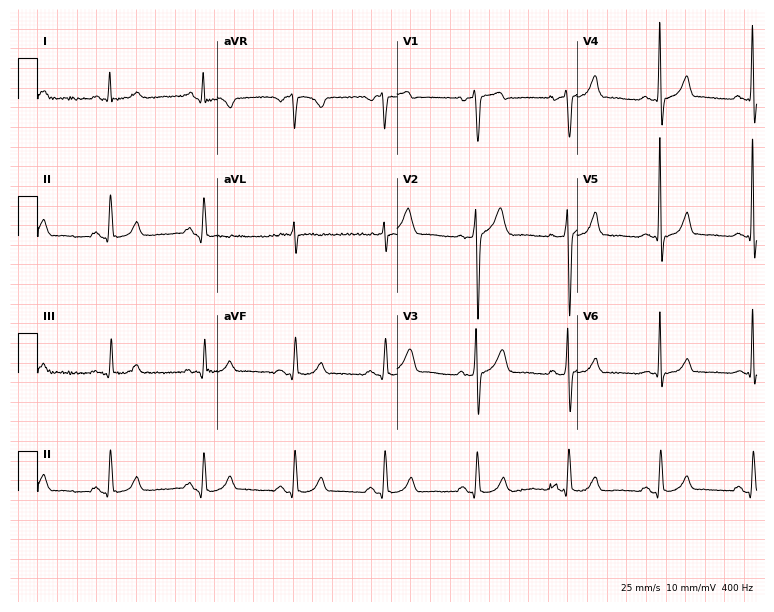
12-lead ECG from a 49-year-old male. Labelled as a normal ECG.